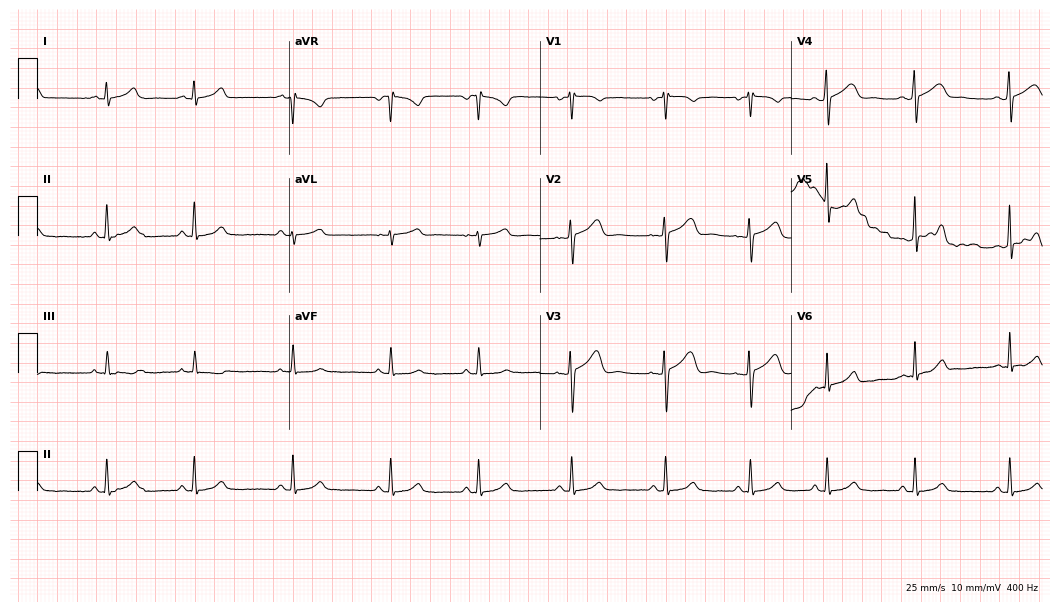
Electrocardiogram (10.2-second recording at 400 Hz), a woman, 18 years old. Overall reading on record: normal ECG.